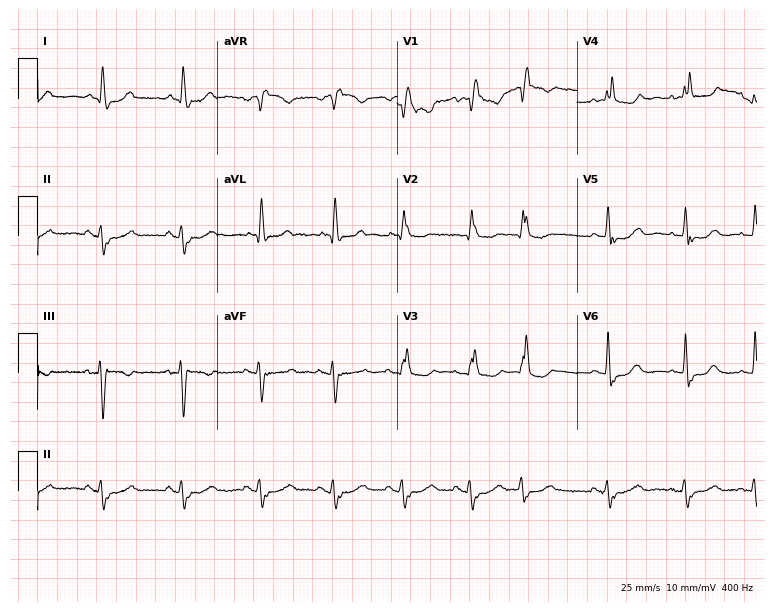
12-lead ECG (7.3-second recording at 400 Hz) from a 70-year-old female patient. Findings include right bundle branch block.